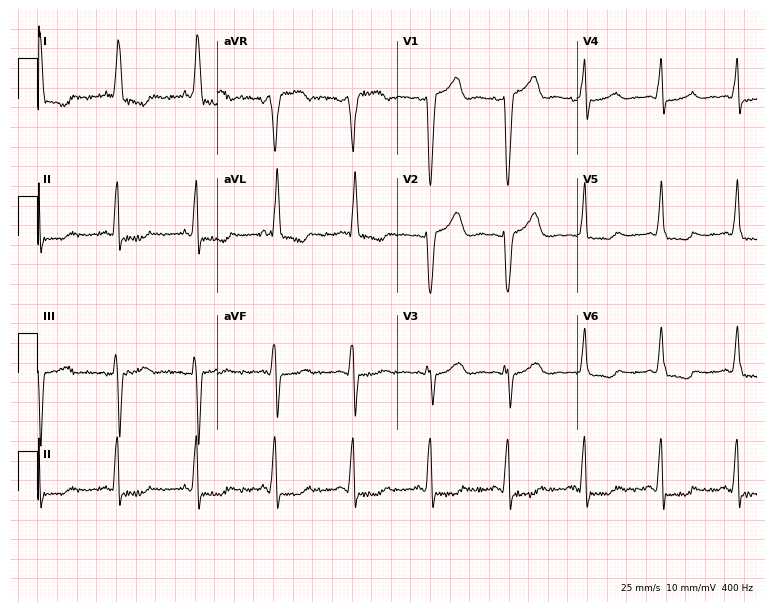
12-lead ECG from a female, 76 years old. Shows left bundle branch block.